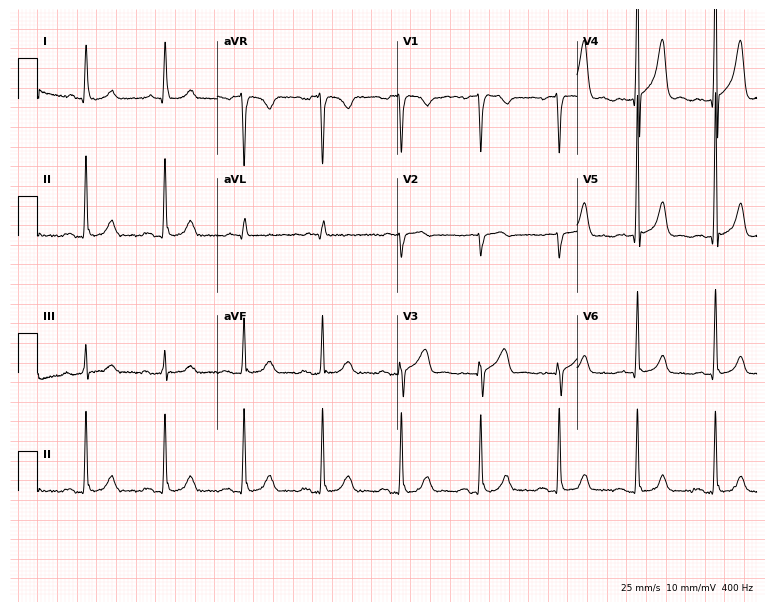
12-lead ECG from an 80-year-old man (7.3-second recording at 400 Hz). No first-degree AV block, right bundle branch block, left bundle branch block, sinus bradycardia, atrial fibrillation or sinus tachycardia recorded for this tracing.